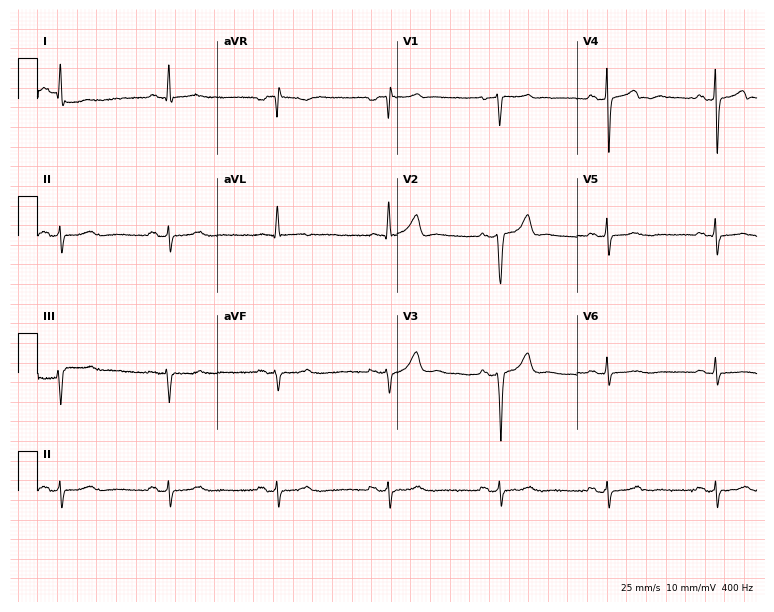
12-lead ECG (7.3-second recording at 400 Hz) from a man, 61 years old. Screened for six findings — first-degree AV block, right bundle branch block, left bundle branch block, sinus bradycardia, atrial fibrillation, sinus tachycardia — none is recorded. Only these six findings were labelled.